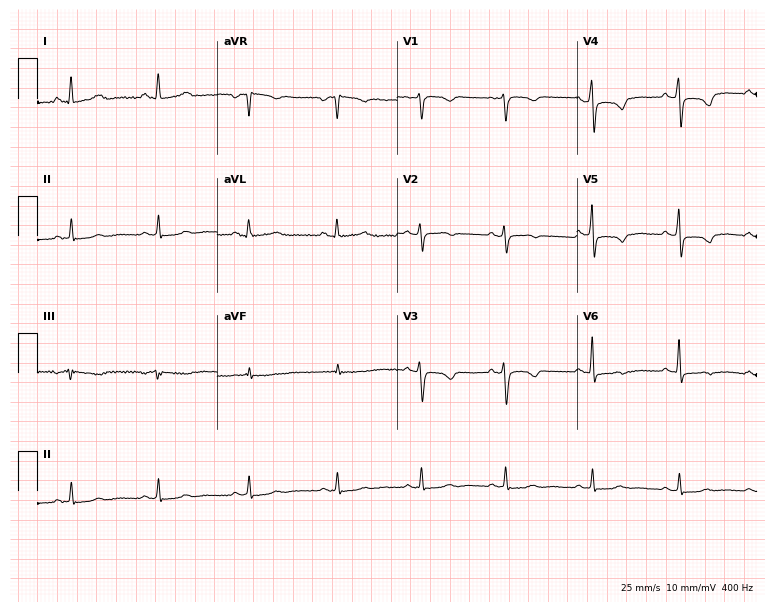
ECG — a 45-year-old woman. Screened for six findings — first-degree AV block, right bundle branch block, left bundle branch block, sinus bradycardia, atrial fibrillation, sinus tachycardia — none is recorded.